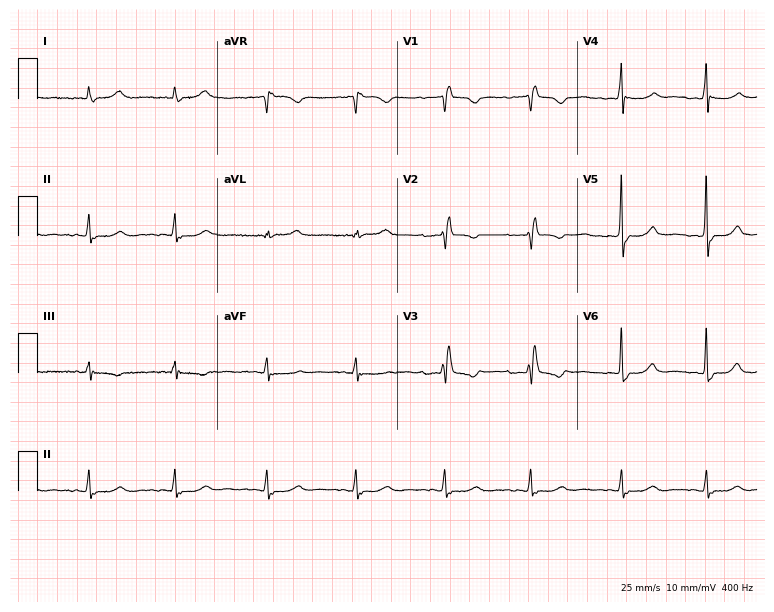
12-lead ECG from a 64-year-old female. Screened for six findings — first-degree AV block, right bundle branch block, left bundle branch block, sinus bradycardia, atrial fibrillation, sinus tachycardia — none is recorded. Other findings, if any, are not listed.